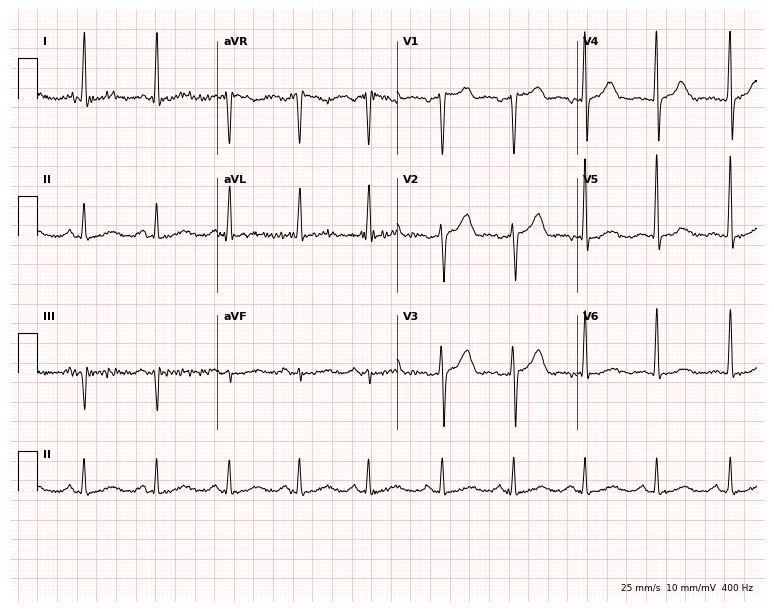
Resting 12-lead electrocardiogram (7.3-second recording at 400 Hz). Patient: a male, 48 years old. Read as a normal ECG.